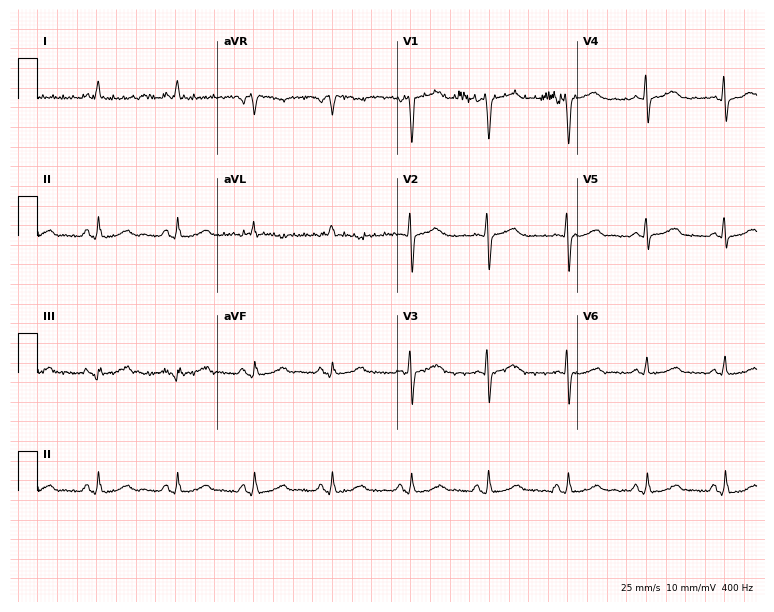
Resting 12-lead electrocardiogram (7.3-second recording at 400 Hz). Patient: a 77-year-old female. Read as a normal ECG.